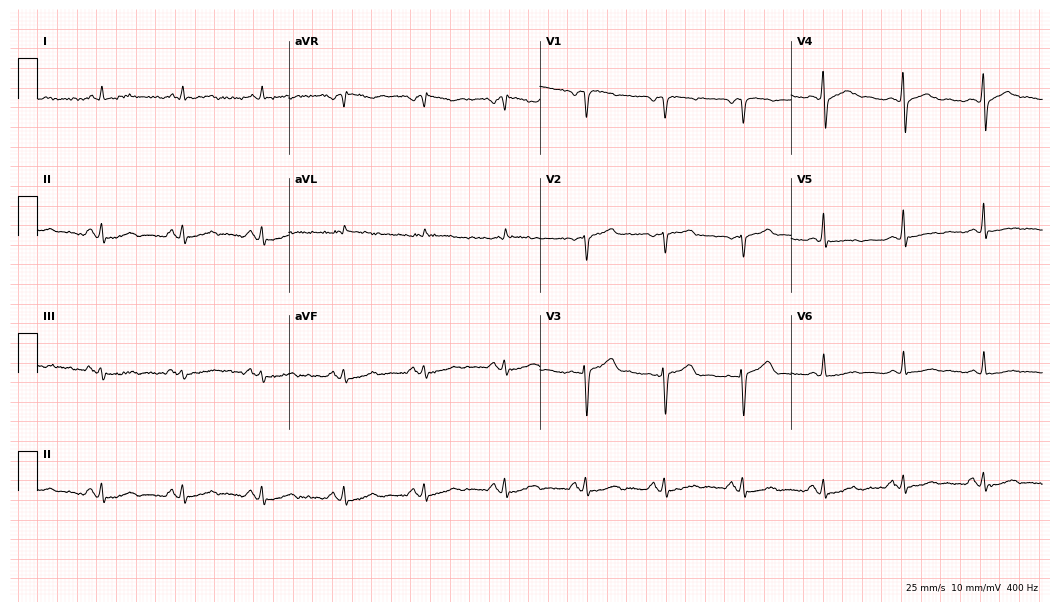
Electrocardiogram (10.2-second recording at 400 Hz), a man, 45 years old. Of the six screened findings (first-degree AV block, right bundle branch block, left bundle branch block, sinus bradycardia, atrial fibrillation, sinus tachycardia), none is recorded. Findings outside these six are not listed.